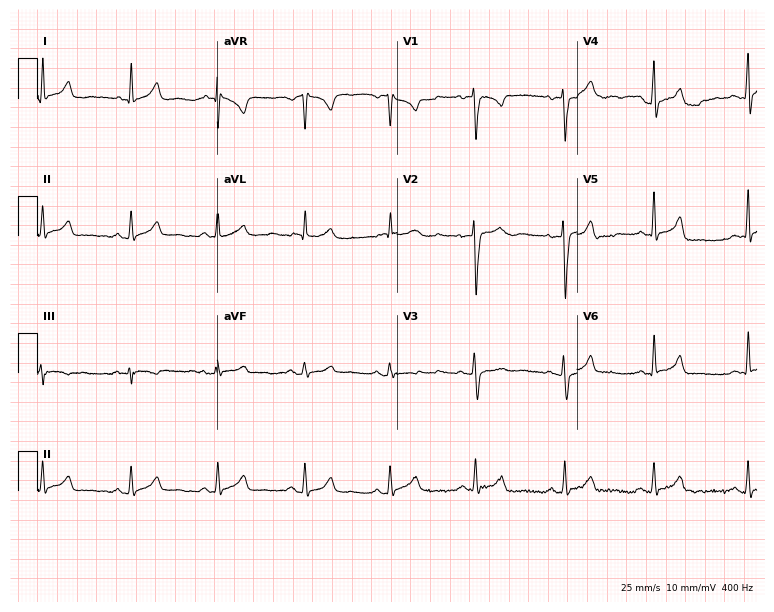
Standard 12-lead ECG recorded from a male patient, 35 years old. Read as a normal ECG.